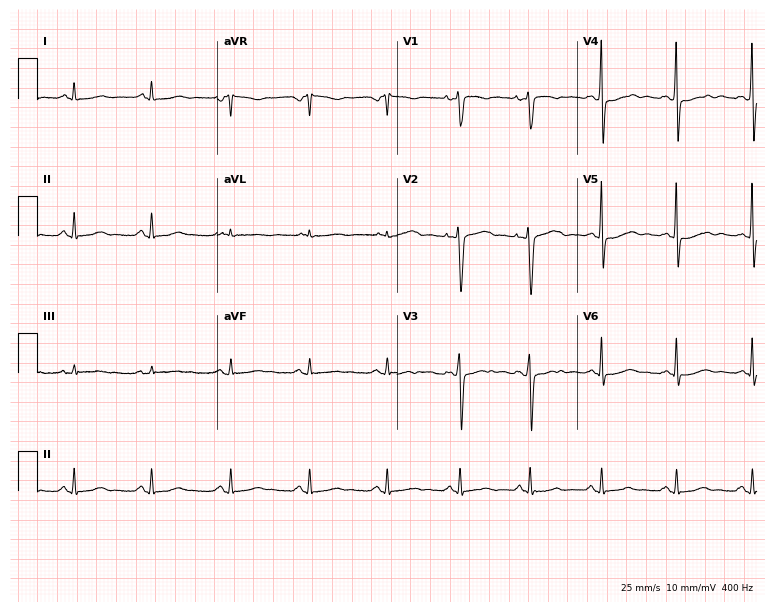
12-lead ECG from a 29-year-old female (7.3-second recording at 400 Hz). No first-degree AV block, right bundle branch block (RBBB), left bundle branch block (LBBB), sinus bradycardia, atrial fibrillation (AF) or sinus tachycardia recorded for this tracing.